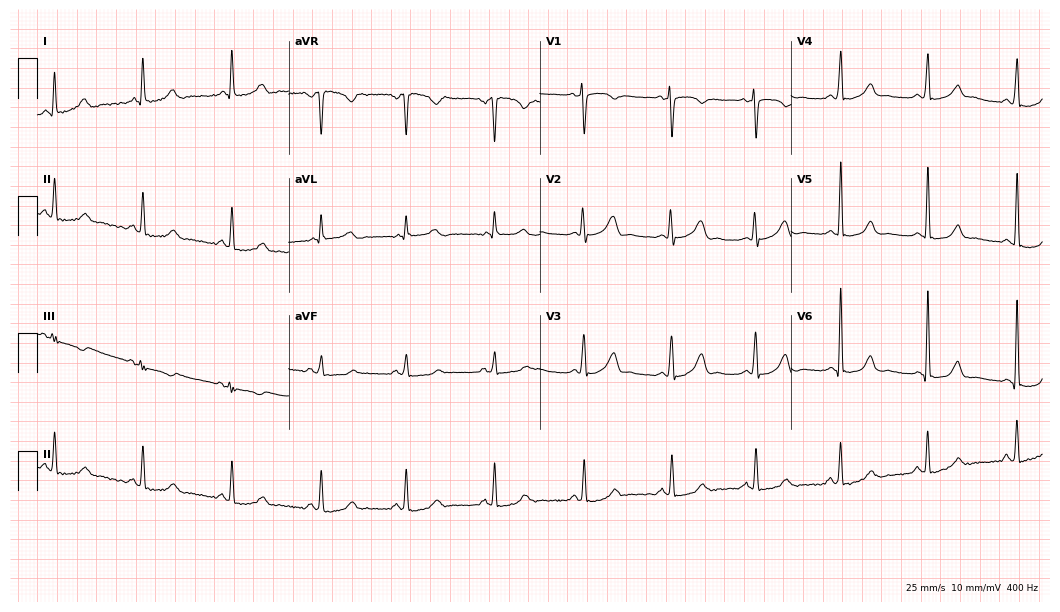
Electrocardiogram, a female patient, 40 years old. Overall reading on record: normal ECG.